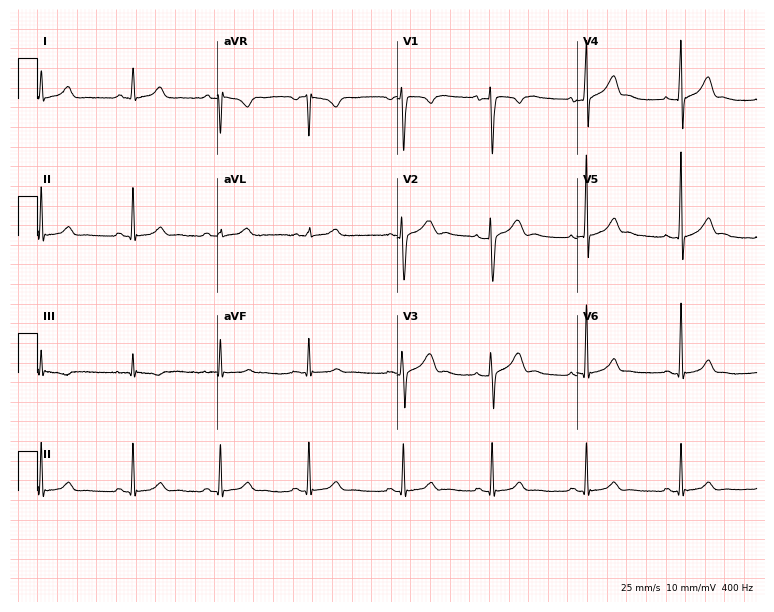
12-lead ECG from a man, 19 years old. Labelled as a normal ECG.